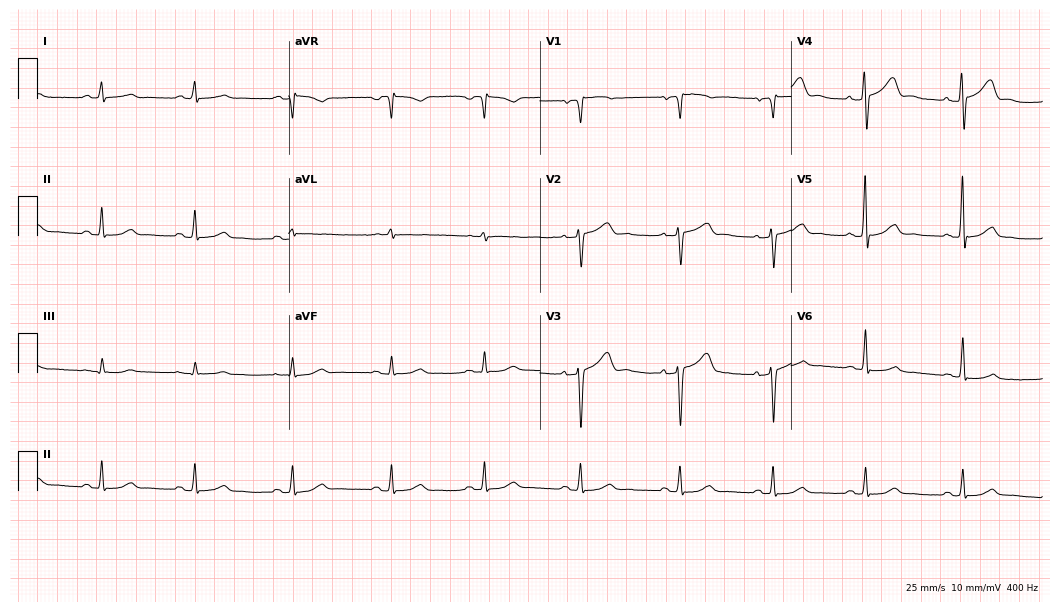
Resting 12-lead electrocardiogram (10.2-second recording at 400 Hz). Patient: a 66-year-old male. None of these six findings is recorded: first-degree AV block, right bundle branch block (RBBB), left bundle branch block (LBBB), sinus bradycardia, atrial fibrillation (AF), sinus tachycardia.